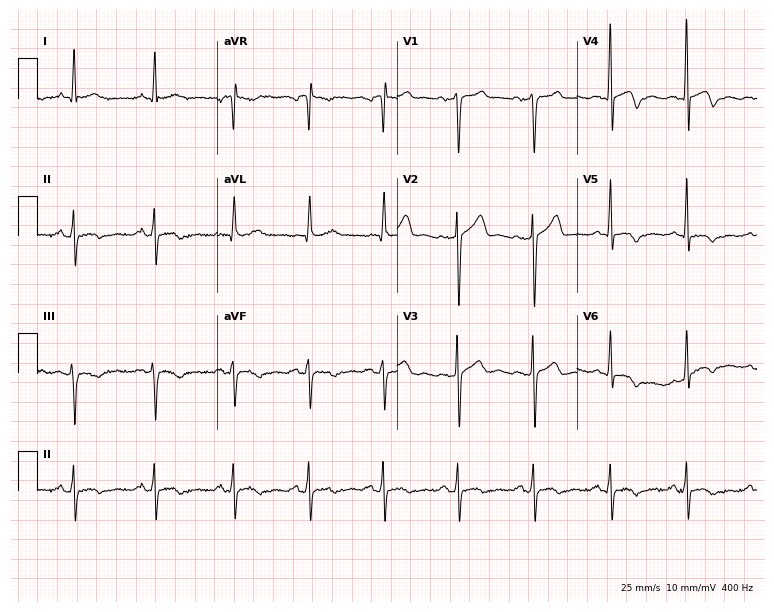
ECG — a male, 43 years old. Labelled as a normal ECG.